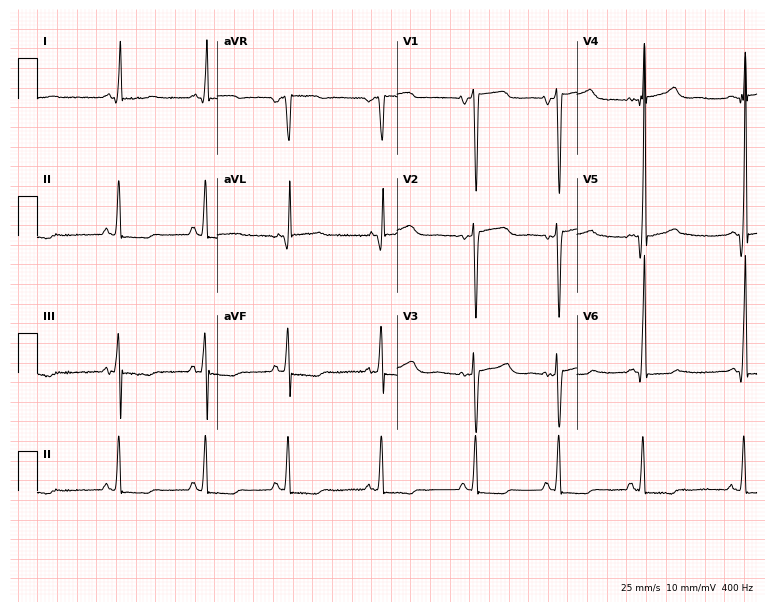
Standard 12-lead ECG recorded from a man, 65 years old. None of these six findings is recorded: first-degree AV block, right bundle branch block, left bundle branch block, sinus bradycardia, atrial fibrillation, sinus tachycardia. Only these six findings were labelled.